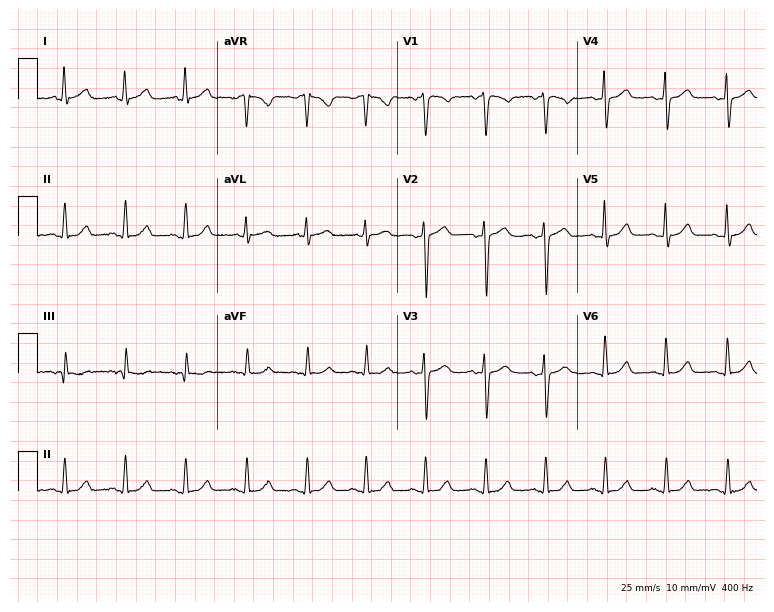
Standard 12-lead ECG recorded from a 49-year-old female patient (7.3-second recording at 400 Hz). Read as a normal ECG.